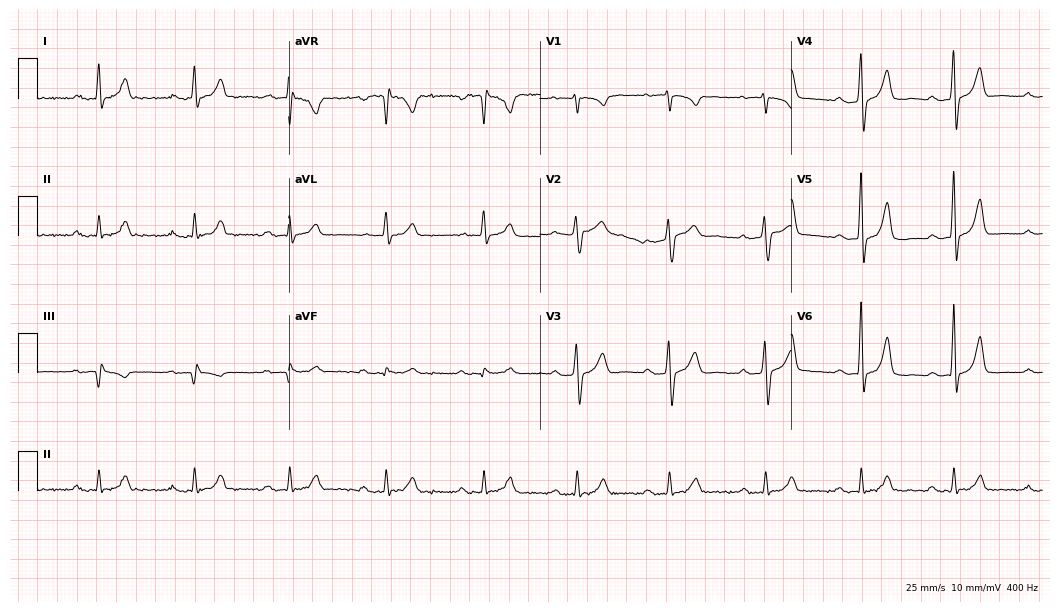
12-lead ECG from a 52-year-old male patient (10.2-second recording at 400 Hz). Recorded interpretation: within normal limits.